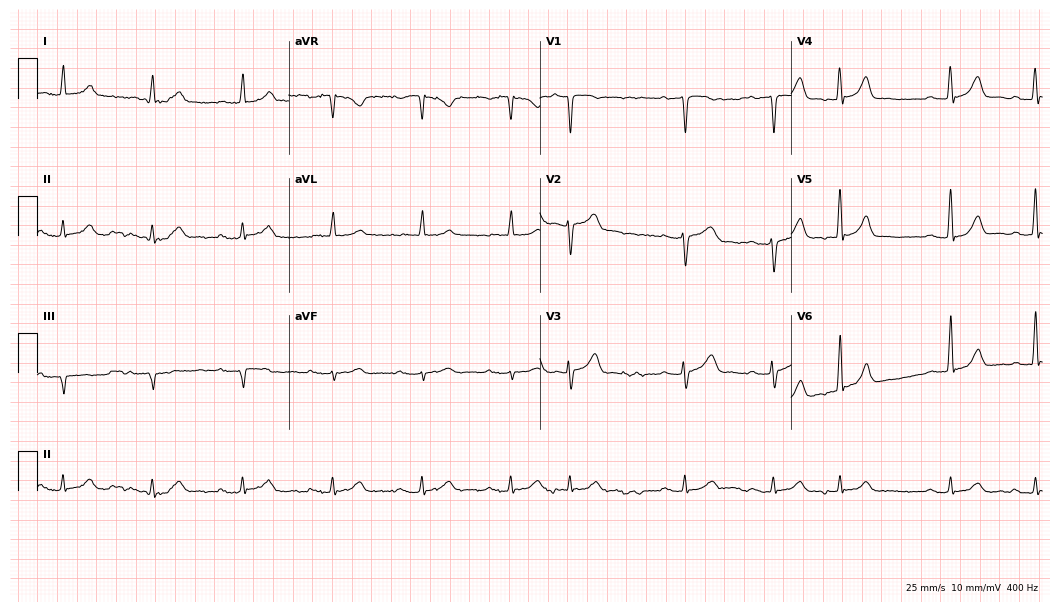
Standard 12-lead ECG recorded from a 73-year-old male patient. The tracing shows atrial fibrillation.